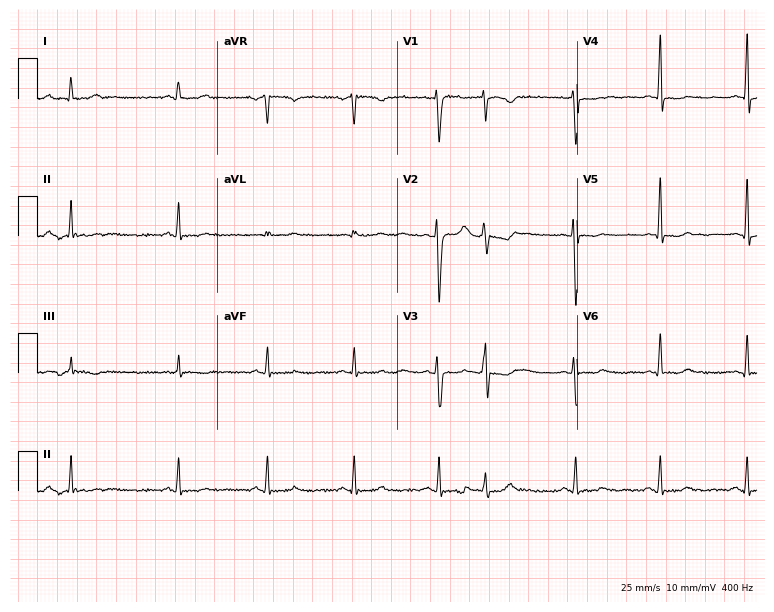
Electrocardiogram (7.3-second recording at 400 Hz), a female patient, 37 years old. Of the six screened findings (first-degree AV block, right bundle branch block (RBBB), left bundle branch block (LBBB), sinus bradycardia, atrial fibrillation (AF), sinus tachycardia), none is recorded. Other findings, if any, are not listed.